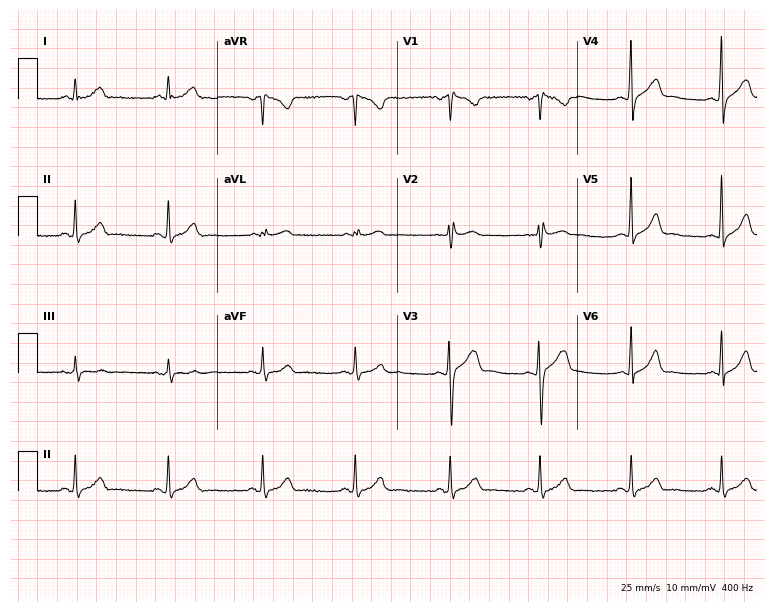
Resting 12-lead electrocardiogram (7.3-second recording at 400 Hz). Patient: a male, 41 years old. None of these six findings is recorded: first-degree AV block, right bundle branch block (RBBB), left bundle branch block (LBBB), sinus bradycardia, atrial fibrillation (AF), sinus tachycardia. Other findings, if any, are not listed.